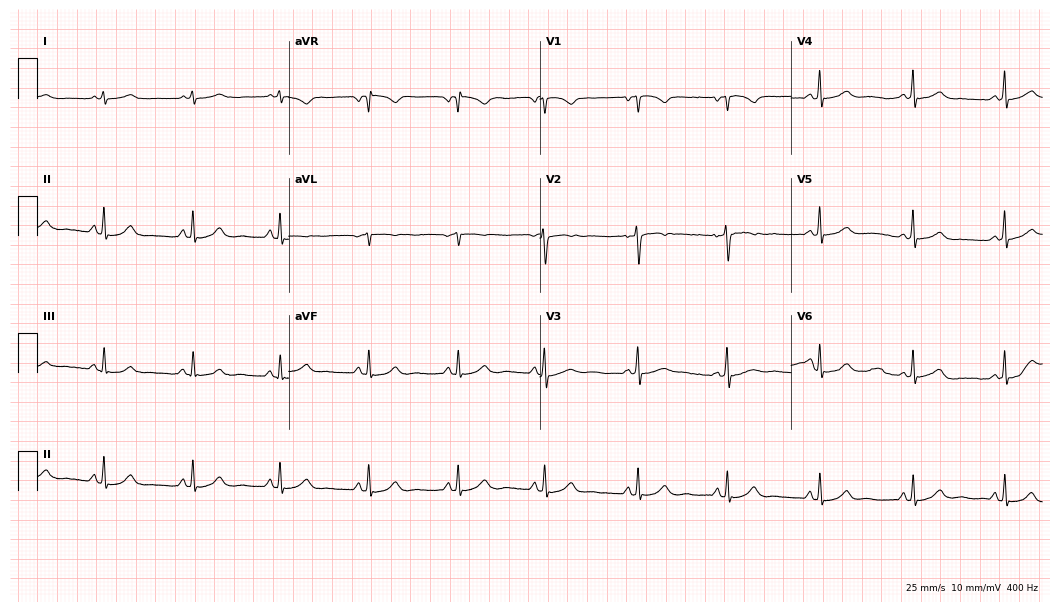
ECG (10.2-second recording at 400 Hz) — a female, 24 years old. Screened for six findings — first-degree AV block, right bundle branch block (RBBB), left bundle branch block (LBBB), sinus bradycardia, atrial fibrillation (AF), sinus tachycardia — none is recorded.